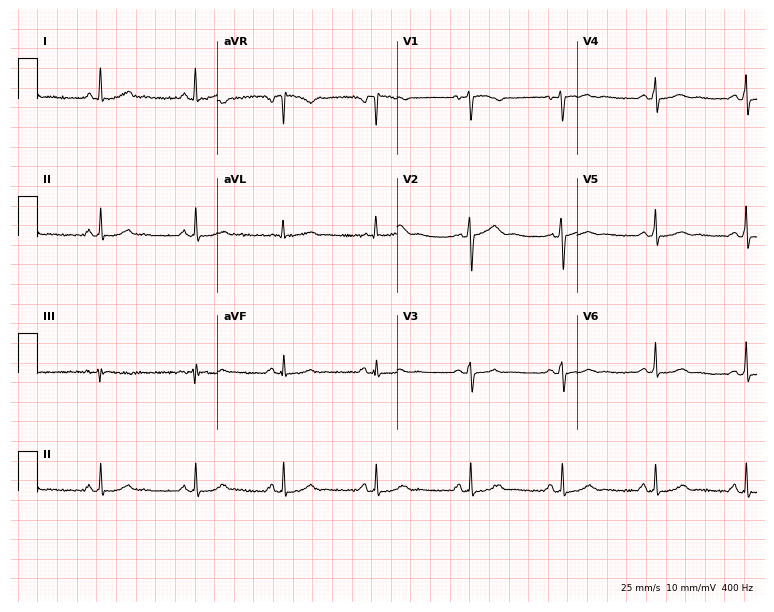
Standard 12-lead ECG recorded from a 54-year-old woman (7.3-second recording at 400 Hz). None of these six findings is recorded: first-degree AV block, right bundle branch block, left bundle branch block, sinus bradycardia, atrial fibrillation, sinus tachycardia. Other findings, if any, are not listed.